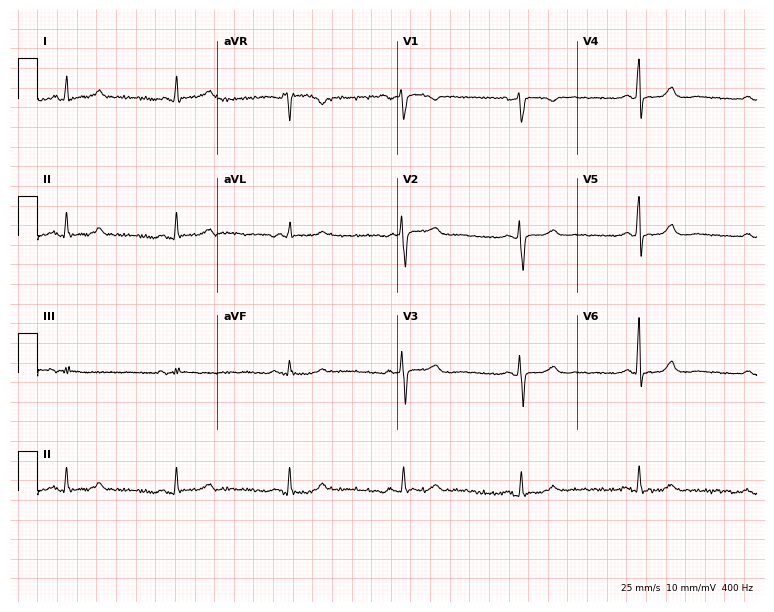
12-lead ECG from a 60-year-old female patient. Screened for six findings — first-degree AV block, right bundle branch block, left bundle branch block, sinus bradycardia, atrial fibrillation, sinus tachycardia — none is recorded.